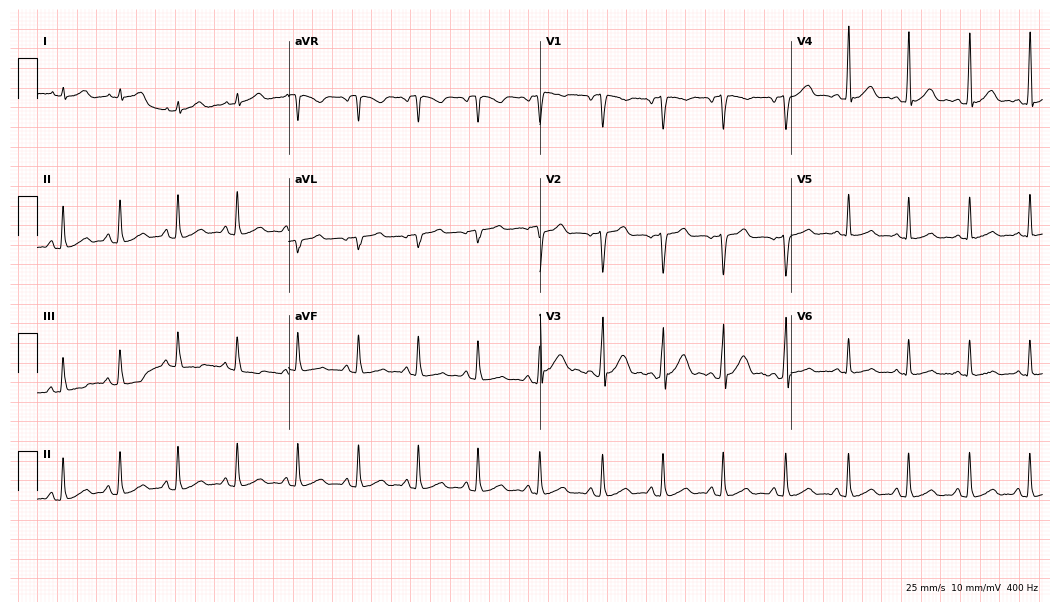
Standard 12-lead ECG recorded from a male patient, 24 years old (10.2-second recording at 400 Hz). None of these six findings is recorded: first-degree AV block, right bundle branch block (RBBB), left bundle branch block (LBBB), sinus bradycardia, atrial fibrillation (AF), sinus tachycardia. Other findings, if any, are not listed.